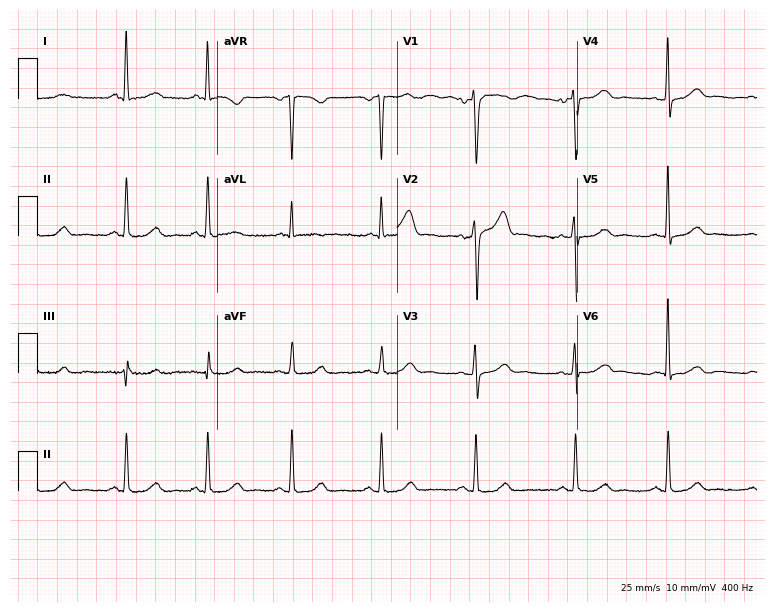
12-lead ECG (7.3-second recording at 400 Hz) from a 36-year-old female patient. Screened for six findings — first-degree AV block, right bundle branch block, left bundle branch block, sinus bradycardia, atrial fibrillation, sinus tachycardia — none is recorded.